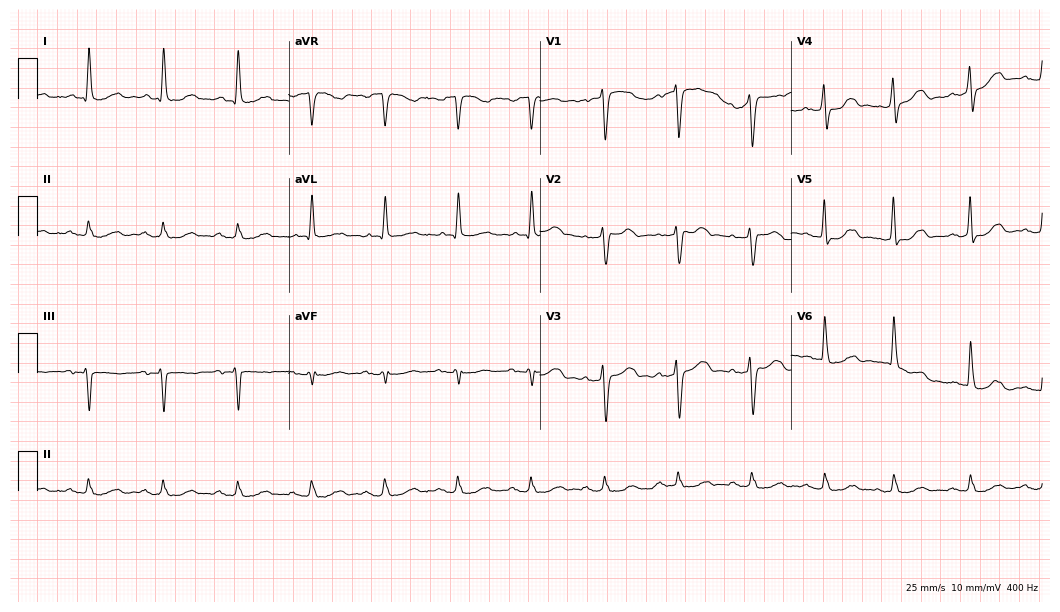
12-lead ECG from a man, 74 years old (10.2-second recording at 400 Hz). No first-degree AV block, right bundle branch block (RBBB), left bundle branch block (LBBB), sinus bradycardia, atrial fibrillation (AF) or sinus tachycardia recorded for this tracing.